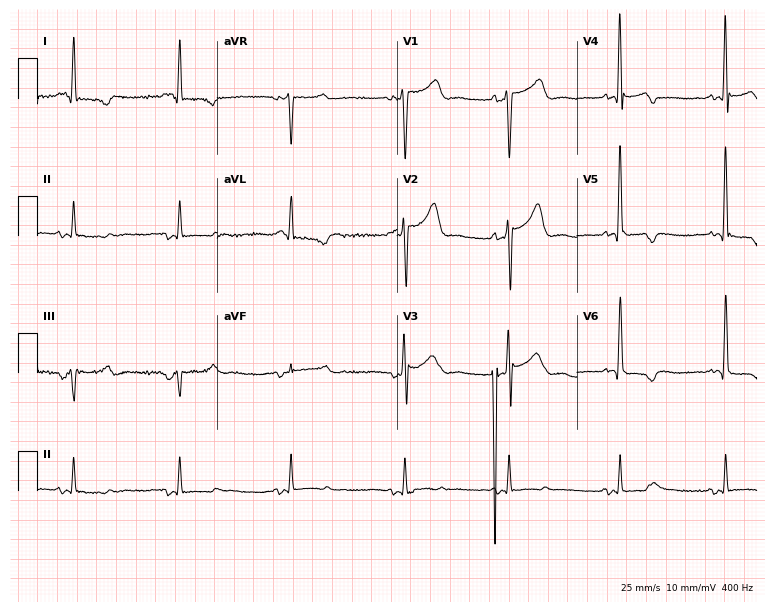
Resting 12-lead electrocardiogram (7.3-second recording at 400 Hz). Patient: a 66-year-old male. Read as a normal ECG.